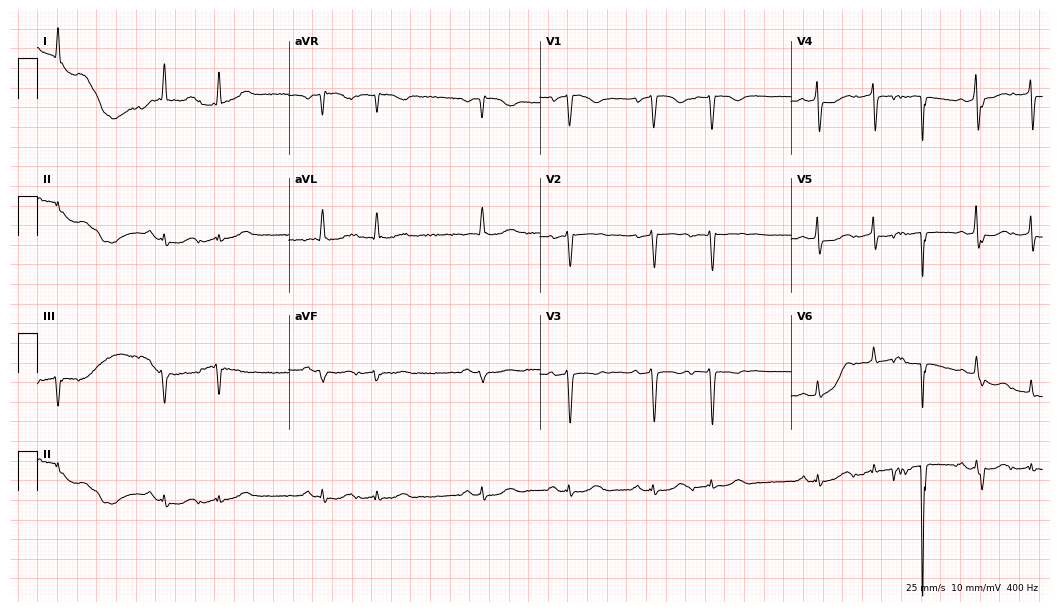
12-lead ECG (10.2-second recording at 400 Hz) from a female, 76 years old. Screened for six findings — first-degree AV block, right bundle branch block, left bundle branch block, sinus bradycardia, atrial fibrillation, sinus tachycardia — none is recorded. Other findings, if any, are not listed.